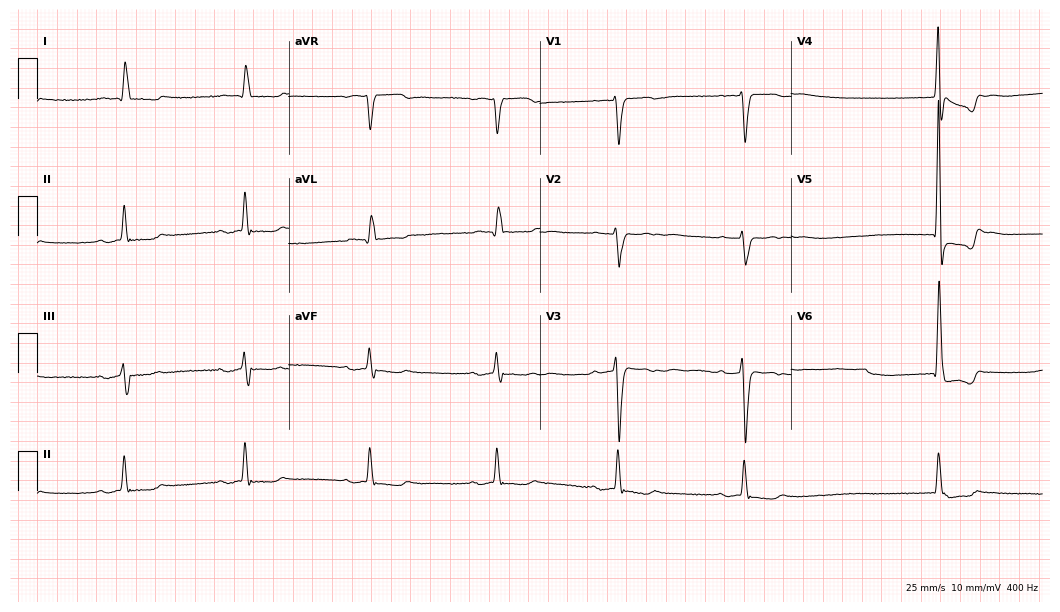
Standard 12-lead ECG recorded from an 80-year-old woman. None of these six findings is recorded: first-degree AV block, right bundle branch block, left bundle branch block, sinus bradycardia, atrial fibrillation, sinus tachycardia.